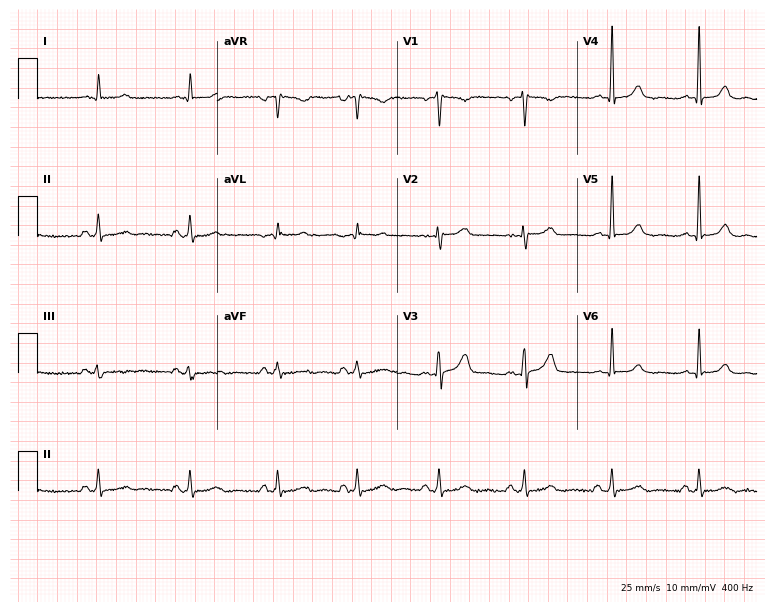
Resting 12-lead electrocardiogram (7.3-second recording at 400 Hz). Patient: a female, 29 years old. None of these six findings is recorded: first-degree AV block, right bundle branch block, left bundle branch block, sinus bradycardia, atrial fibrillation, sinus tachycardia. Only these six findings were labelled.